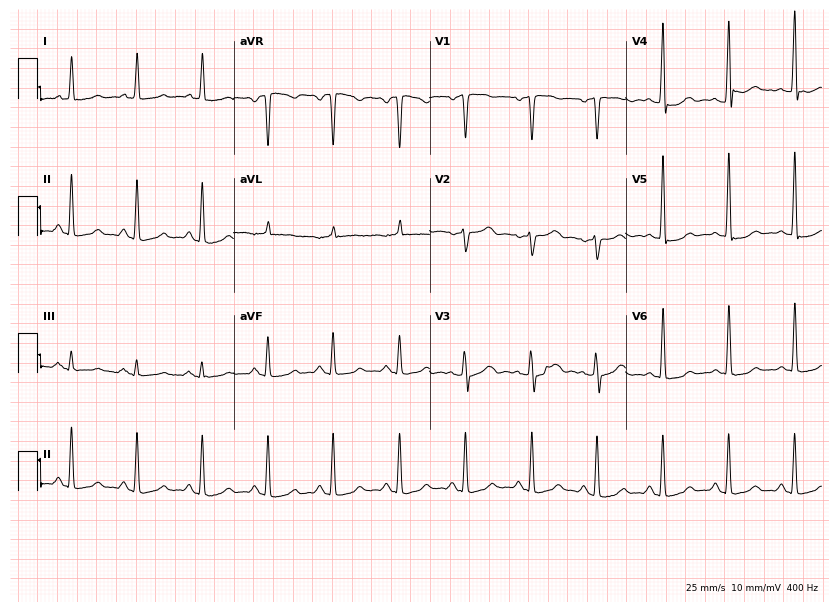
Standard 12-lead ECG recorded from a 46-year-old female patient (8-second recording at 400 Hz). None of these six findings is recorded: first-degree AV block, right bundle branch block, left bundle branch block, sinus bradycardia, atrial fibrillation, sinus tachycardia. Only these six findings were labelled.